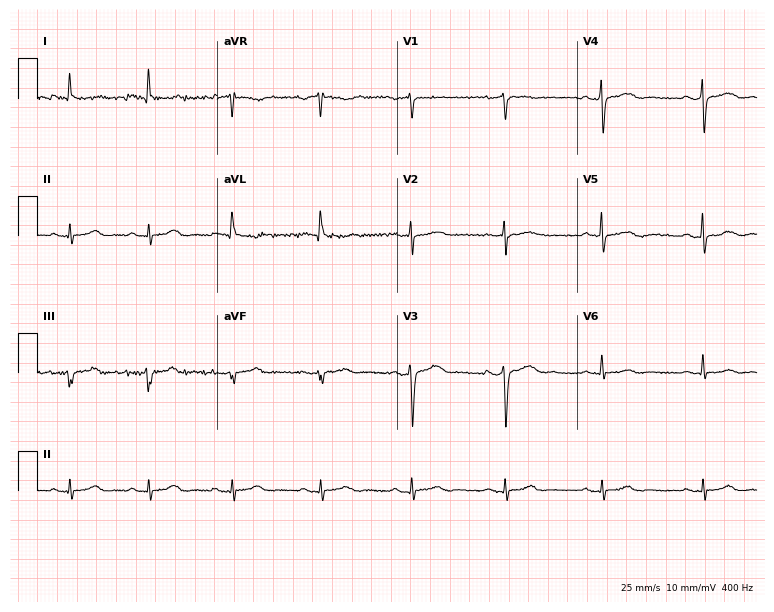
12-lead ECG from a 73-year-old female. Screened for six findings — first-degree AV block, right bundle branch block (RBBB), left bundle branch block (LBBB), sinus bradycardia, atrial fibrillation (AF), sinus tachycardia — none is recorded. Other findings, if any, are not listed.